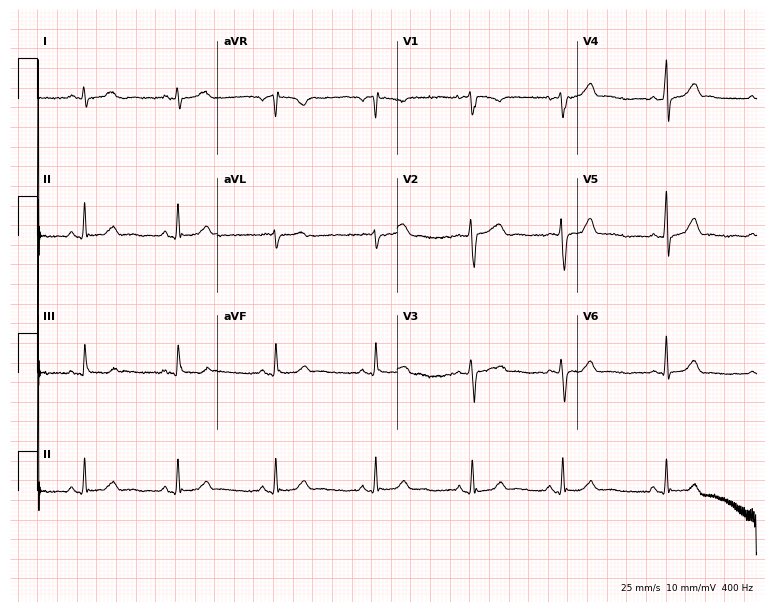
Resting 12-lead electrocardiogram. Patient: a woman, 17 years old. Read as a normal ECG.